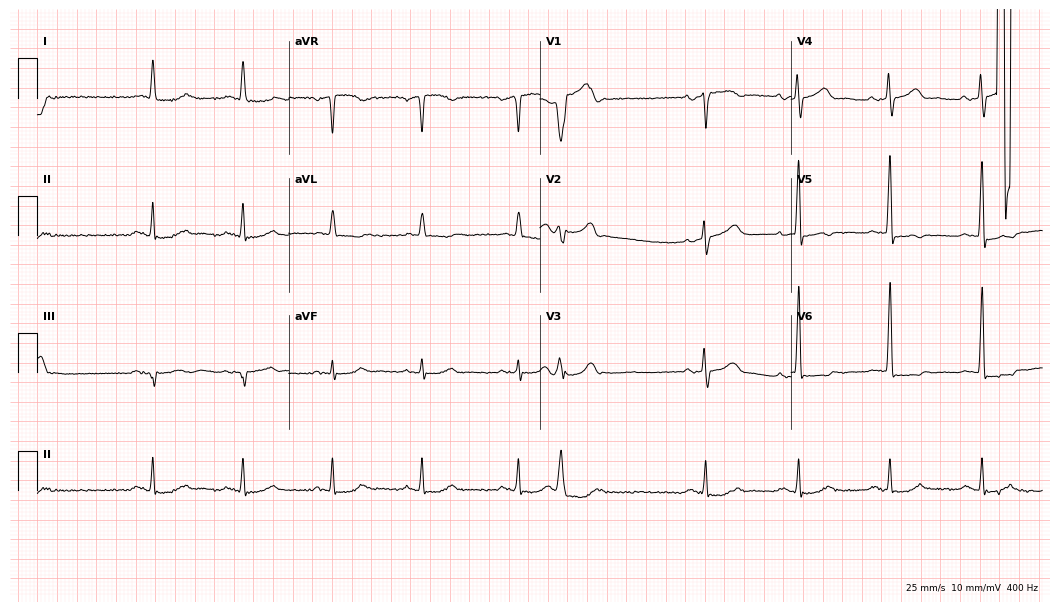
Resting 12-lead electrocardiogram (10.2-second recording at 400 Hz). Patient: an 82-year-old woman. None of these six findings is recorded: first-degree AV block, right bundle branch block, left bundle branch block, sinus bradycardia, atrial fibrillation, sinus tachycardia.